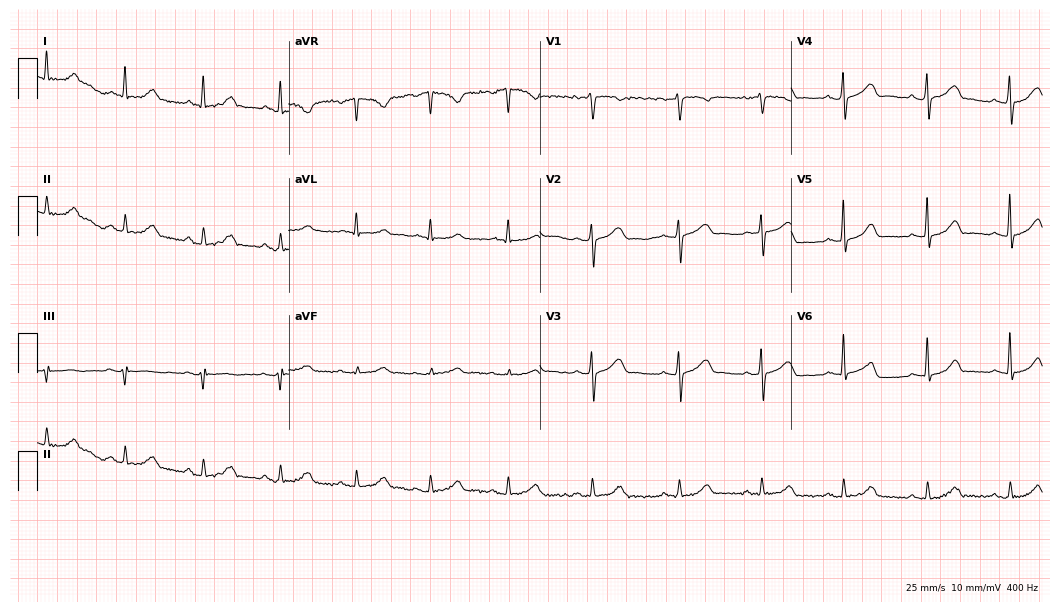
12-lead ECG from a 34-year-old female. No first-degree AV block, right bundle branch block, left bundle branch block, sinus bradycardia, atrial fibrillation or sinus tachycardia recorded for this tracing.